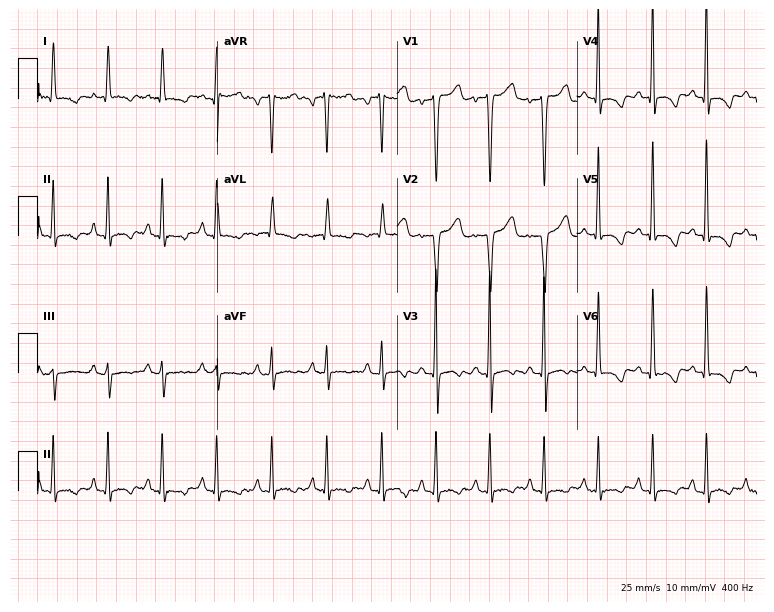
12-lead ECG (7.3-second recording at 400 Hz) from a female, 60 years old. Findings include sinus tachycardia (a sinus rate of 100 beats per minute or more).